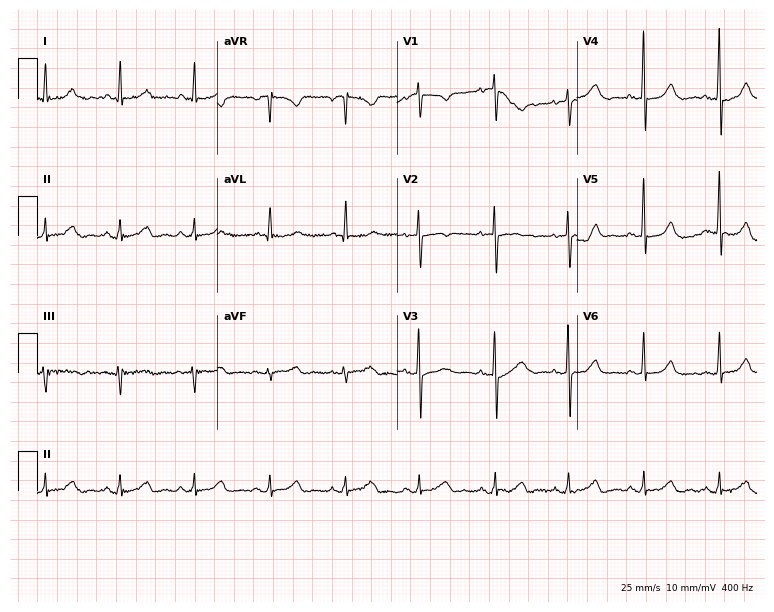
Electrocardiogram (7.3-second recording at 400 Hz), a 63-year-old female. Overall reading on record: normal ECG.